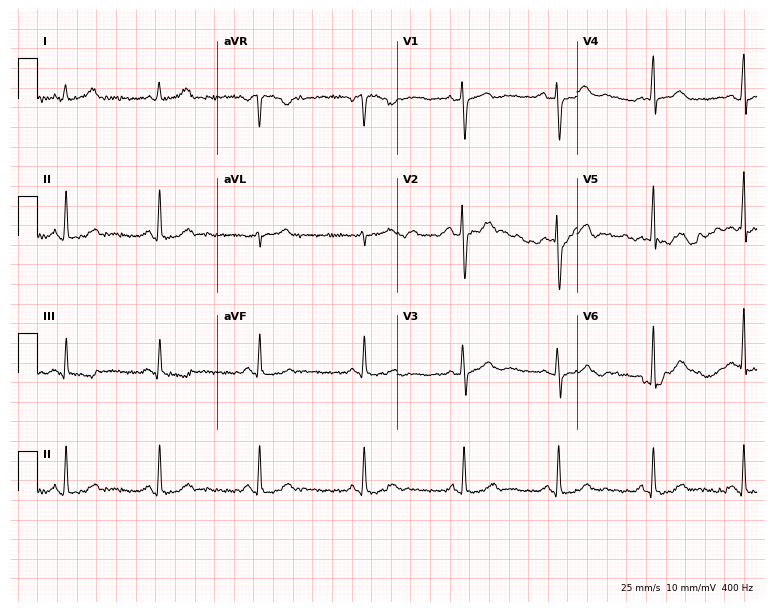
12-lead ECG from a woman, 33 years old (7.3-second recording at 400 Hz). Recorded interpretation: within normal limits.